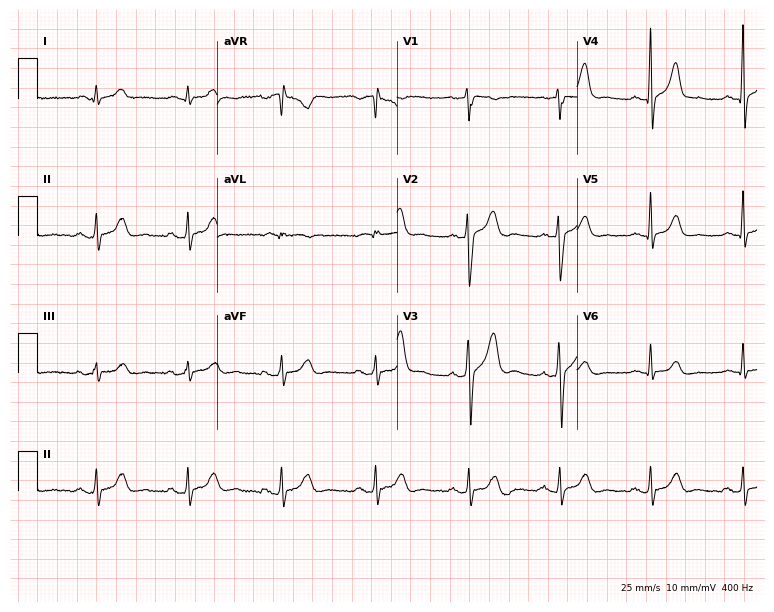
12-lead ECG from a 53-year-old male patient (7.3-second recording at 400 Hz). Recorded interpretation: within normal limits.